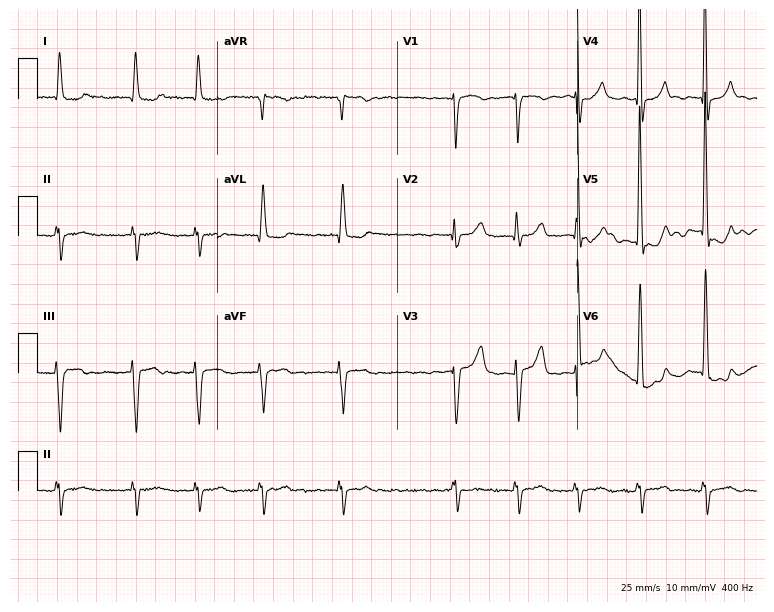
Standard 12-lead ECG recorded from a female, 84 years old. The tracing shows atrial fibrillation.